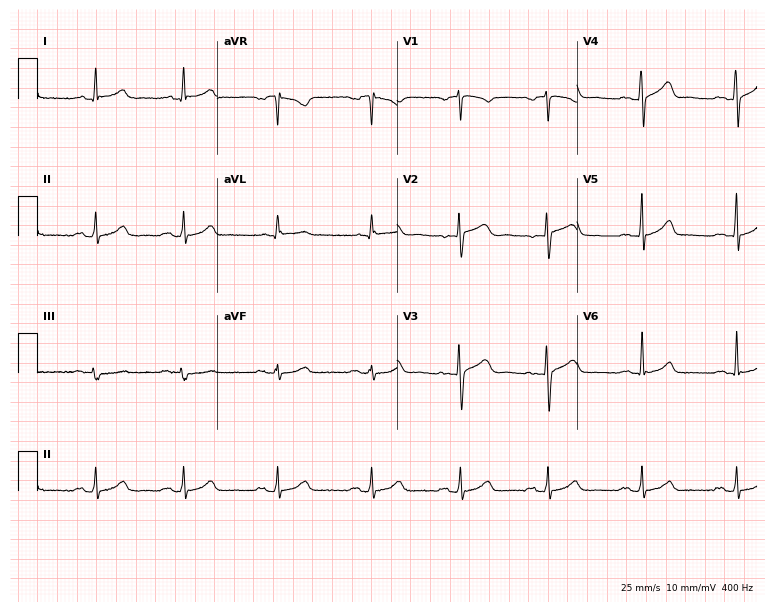
12-lead ECG from a 30-year-old woman. Screened for six findings — first-degree AV block, right bundle branch block (RBBB), left bundle branch block (LBBB), sinus bradycardia, atrial fibrillation (AF), sinus tachycardia — none is recorded.